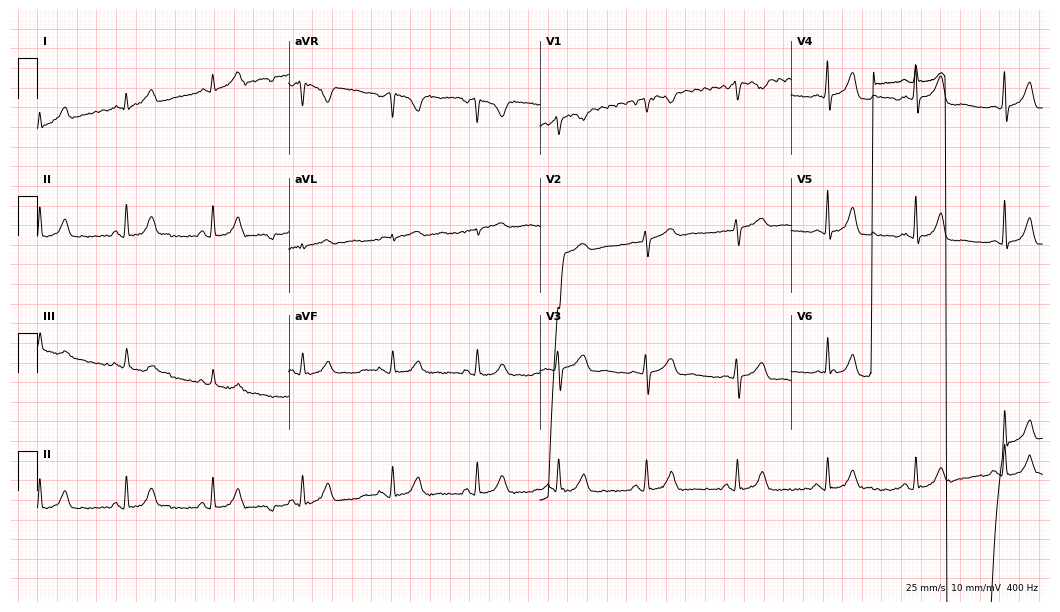
Resting 12-lead electrocardiogram. Patient: a woman, 28 years old. None of these six findings is recorded: first-degree AV block, right bundle branch block (RBBB), left bundle branch block (LBBB), sinus bradycardia, atrial fibrillation (AF), sinus tachycardia. Only these six findings were labelled.